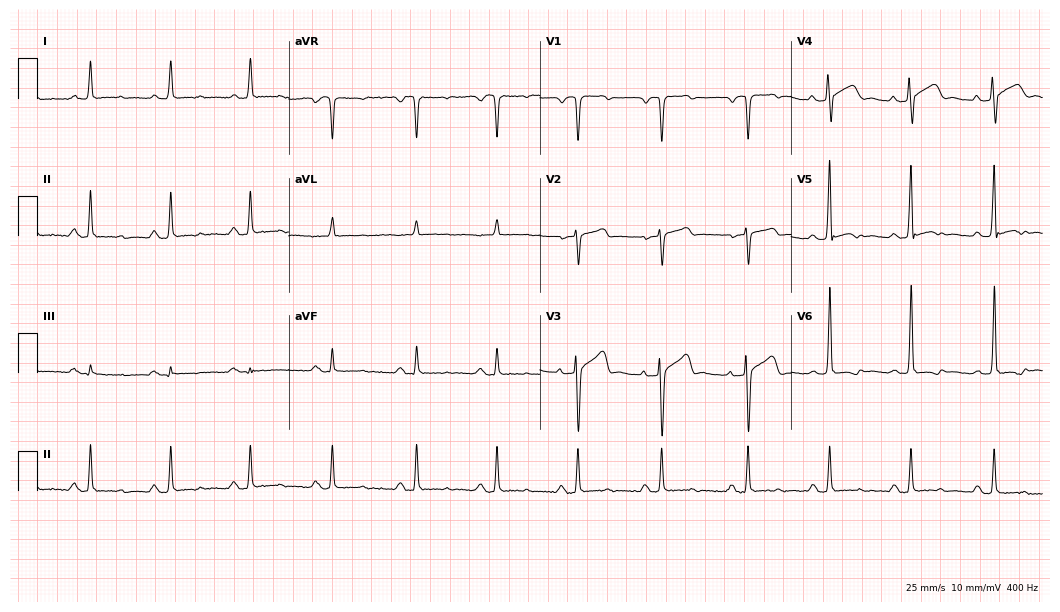
Resting 12-lead electrocardiogram (10.2-second recording at 400 Hz). Patient: a 69-year-old male. None of these six findings is recorded: first-degree AV block, right bundle branch block, left bundle branch block, sinus bradycardia, atrial fibrillation, sinus tachycardia.